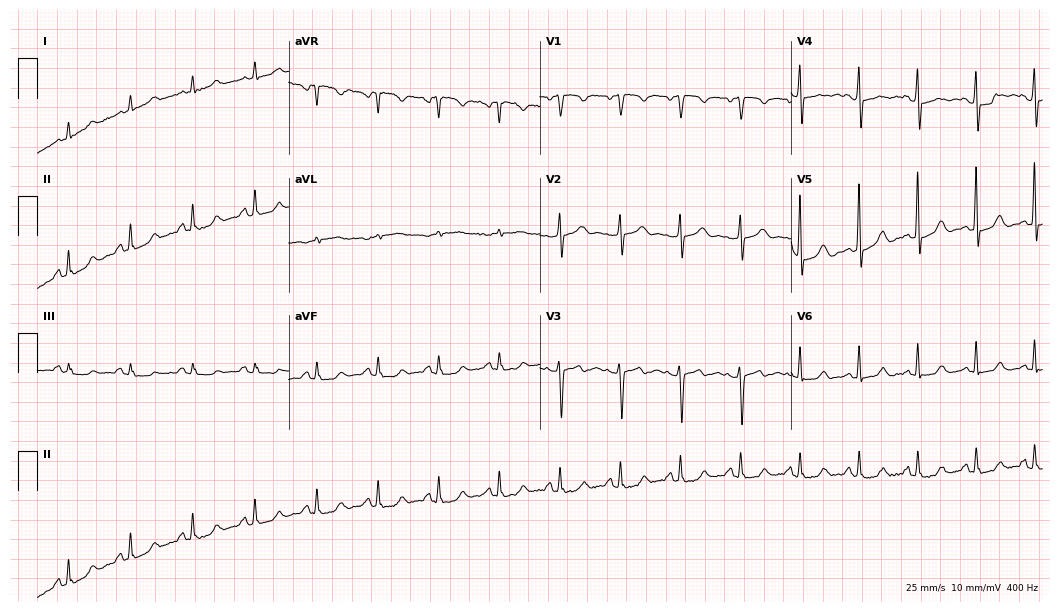
Standard 12-lead ECG recorded from a female patient, 60 years old (10.2-second recording at 400 Hz). None of these six findings is recorded: first-degree AV block, right bundle branch block, left bundle branch block, sinus bradycardia, atrial fibrillation, sinus tachycardia.